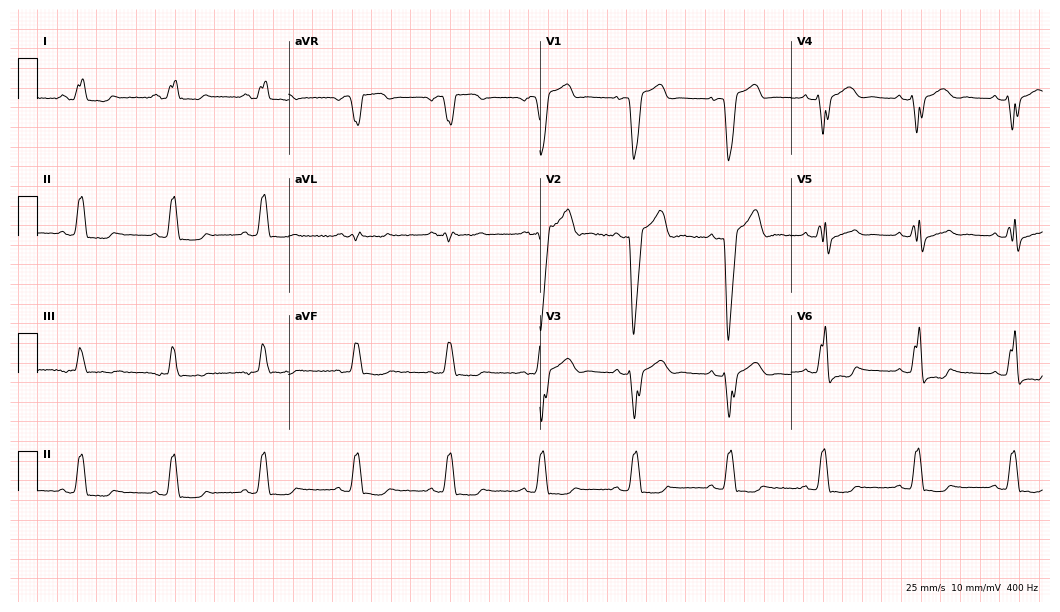
Electrocardiogram (10.2-second recording at 400 Hz), a female patient, 57 years old. Interpretation includes left bundle branch block (LBBB).